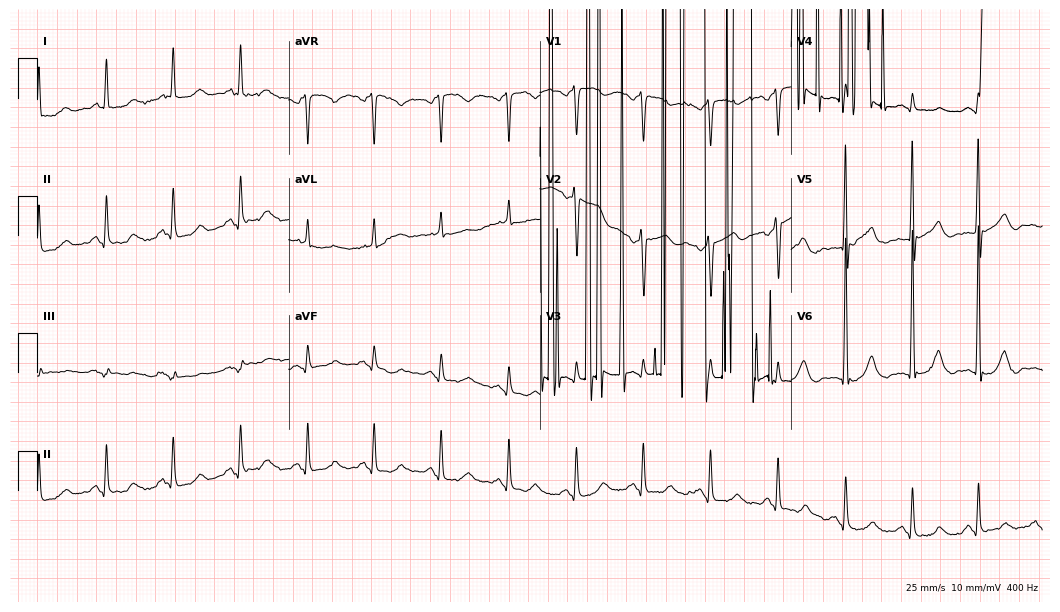
Standard 12-lead ECG recorded from a 60-year-old male (10.2-second recording at 400 Hz). None of these six findings is recorded: first-degree AV block, right bundle branch block (RBBB), left bundle branch block (LBBB), sinus bradycardia, atrial fibrillation (AF), sinus tachycardia. Findings outside these six are not listed.